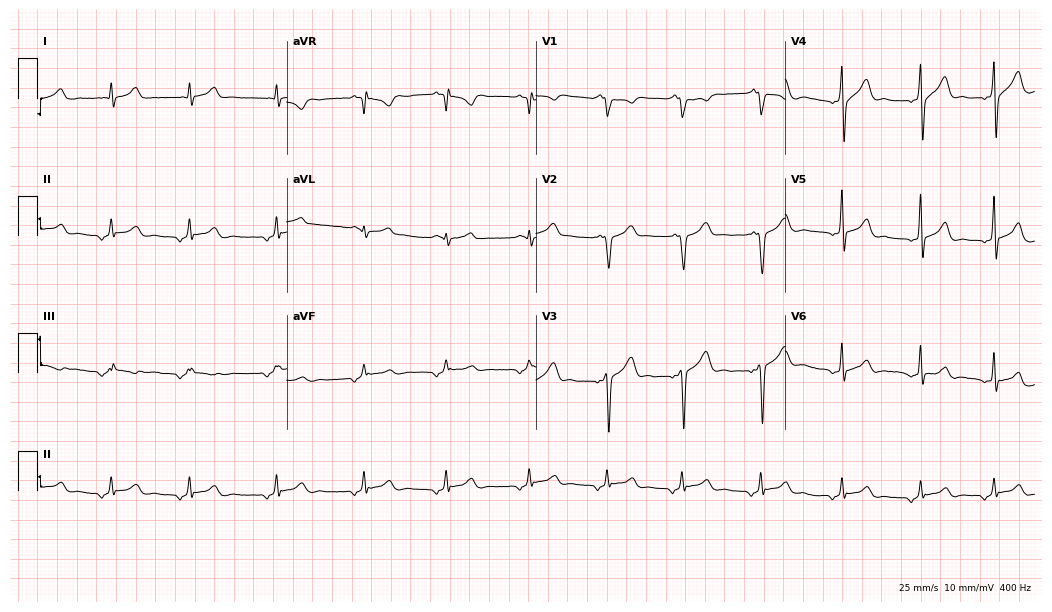
12-lead ECG from a 24-year-old man (10.2-second recording at 400 Hz). No first-degree AV block, right bundle branch block, left bundle branch block, sinus bradycardia, atrial fibrillation or sinus tachycardia recorded for this tracing. Findings outside these six are not listed.